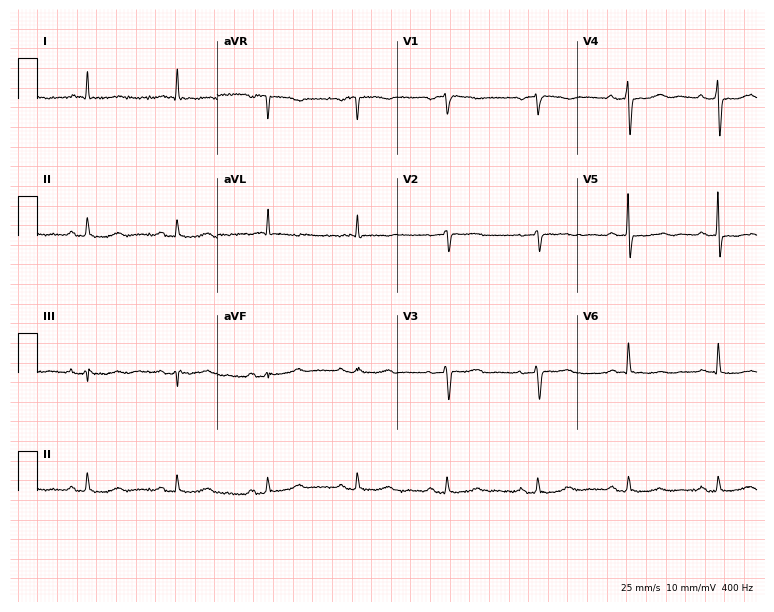
12-lead ECG (7.3-second recording at 400 Hz) from a 77-year-old female patient. Screened for six findings — first-degree AV block, right bundle branch block, left bundle branch block, sinus bradycardia, atrial fibrillation, sinus tachycardia — none is recorded.